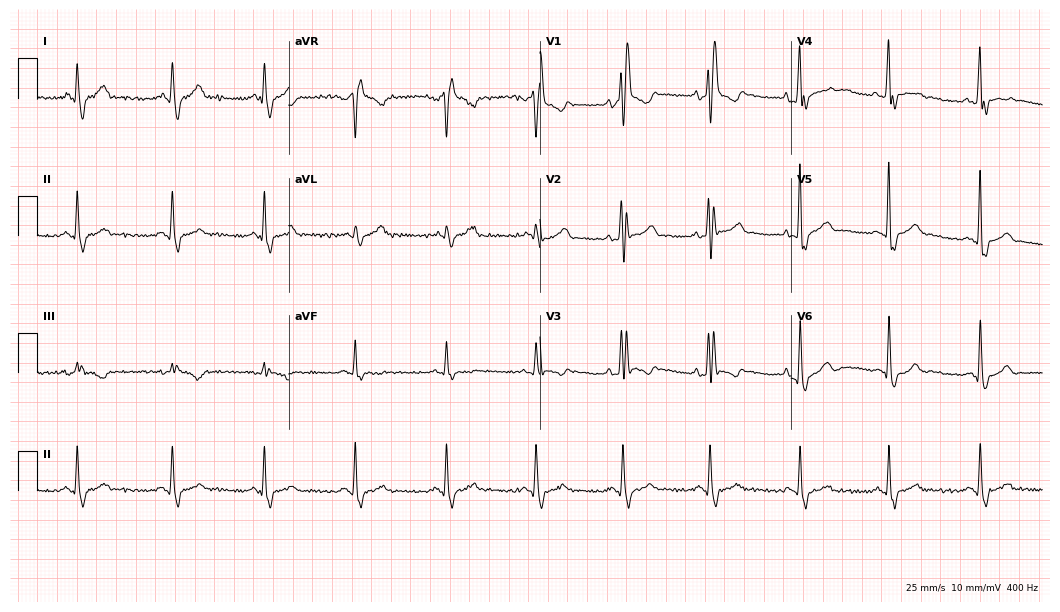
Electrocardiogram (10.2-second recording at 400 Hz), a man, 47 years old. Interpretation includes right bundle branch block (RBBB).